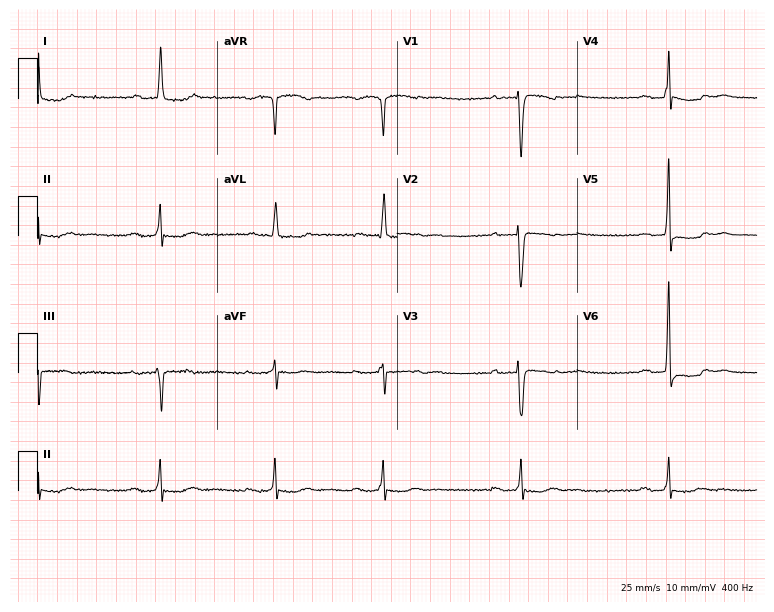
Resting 12-lead electrocardiogram. Patient: a female, 64 years old. The tracing shows first-degree AV block.